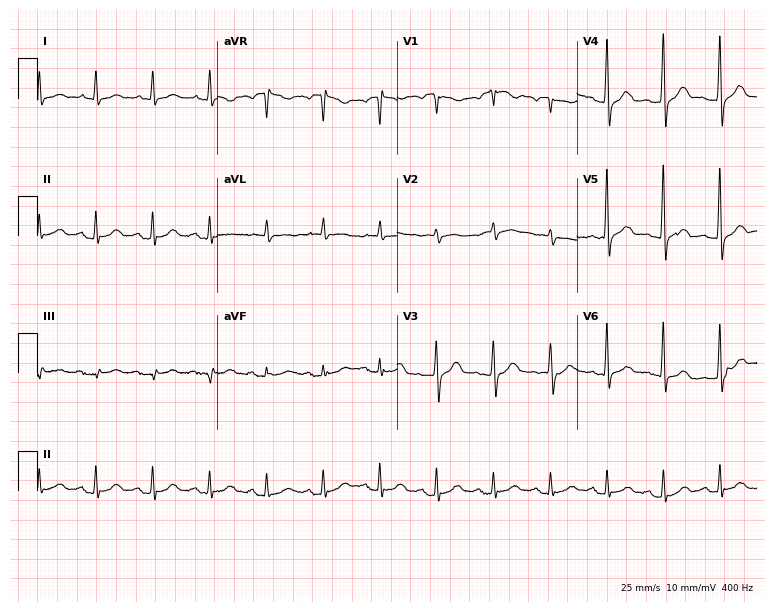
ECG — a man, 67 years old. Findings include sinus tachycardia (a sinus rate of 100 beats per minute or more).